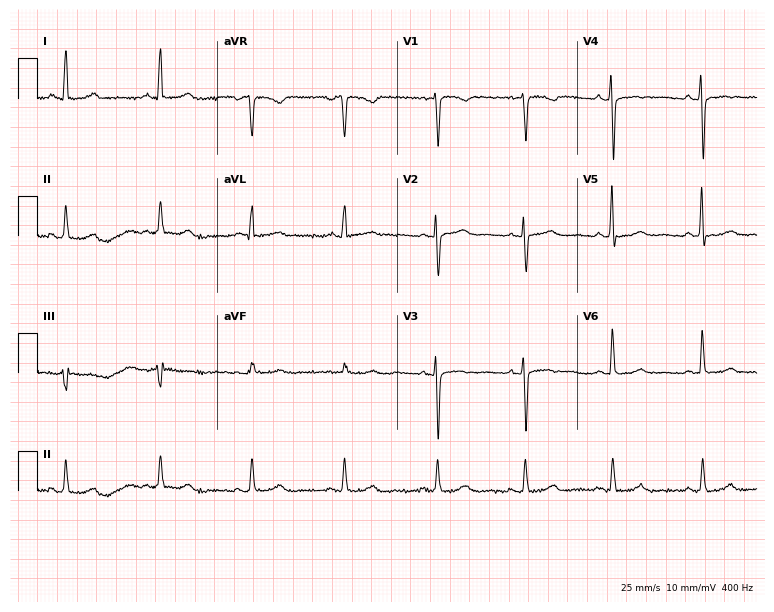
12-lead ECG from a woman, 74 years old. Recorded interpretation: within normal limits.